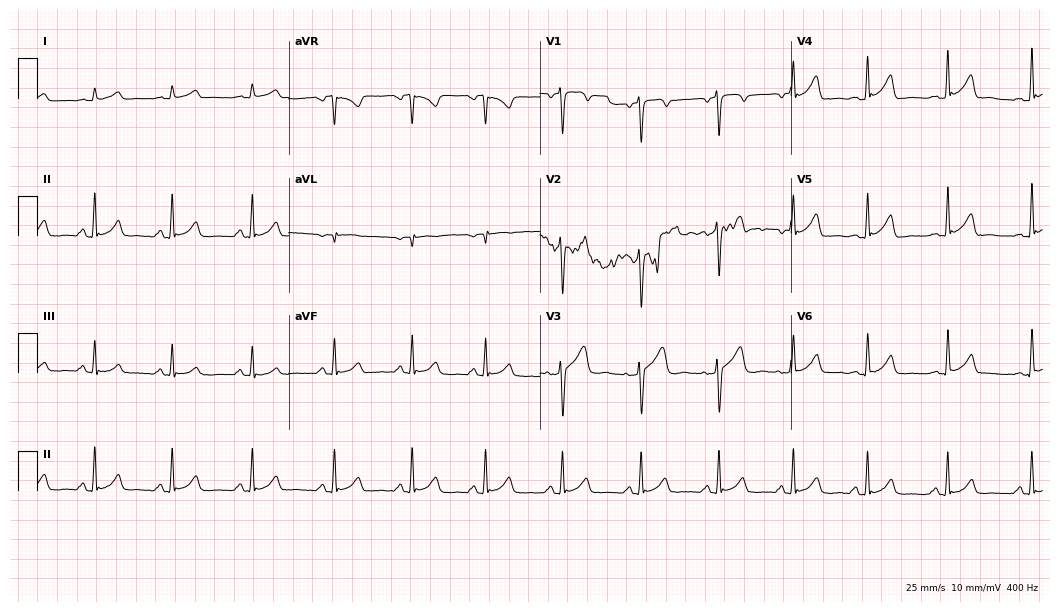
Resting 12-lead electrocardiogram (10.2-second recording at 400 Hz). Patient: a male, 45 years old. None of these six findings is recorded: first-degree AV block, right bundle branch block, left bundle branch block, sinus bradycardia, atrial fibrillation, sinus tachycardia. Findings outside these six are not listed.